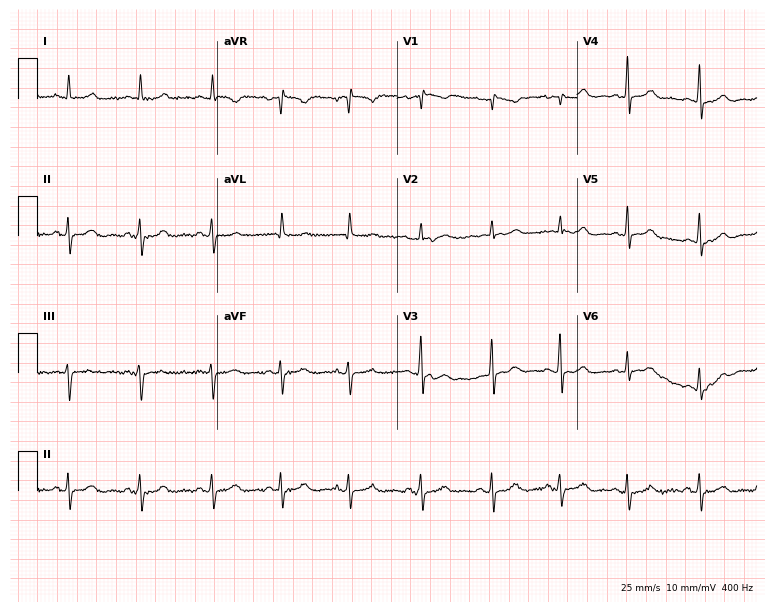
12-lead ECG from a female patient, 44 years old (7.3-second recording at 400 Hz). Recorded interpretation: within normal limits.